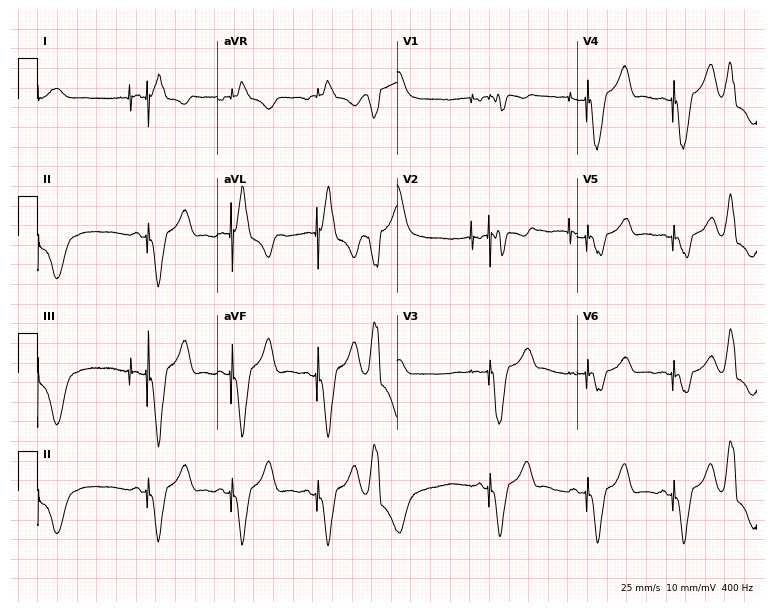
Standard 12-lead ECG recorded from a 47-year-old female. None of these six findings is recorded: first-degree AV block, right bundle branch block, left bundle branch block, sinus bradycardia, atrial fibrillation, sinus tachycardia. Findings outside these six are not listed.